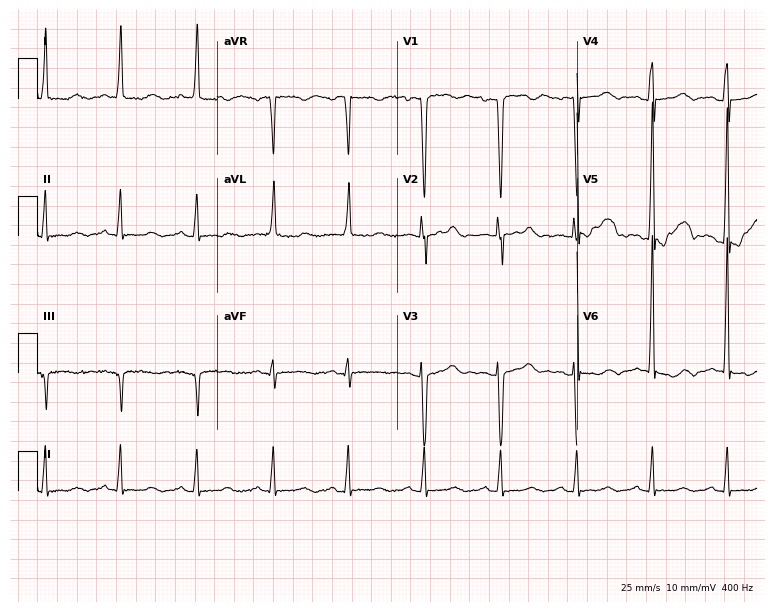
ECG — a 70-year-old woman. Labelled as a normal ECG.